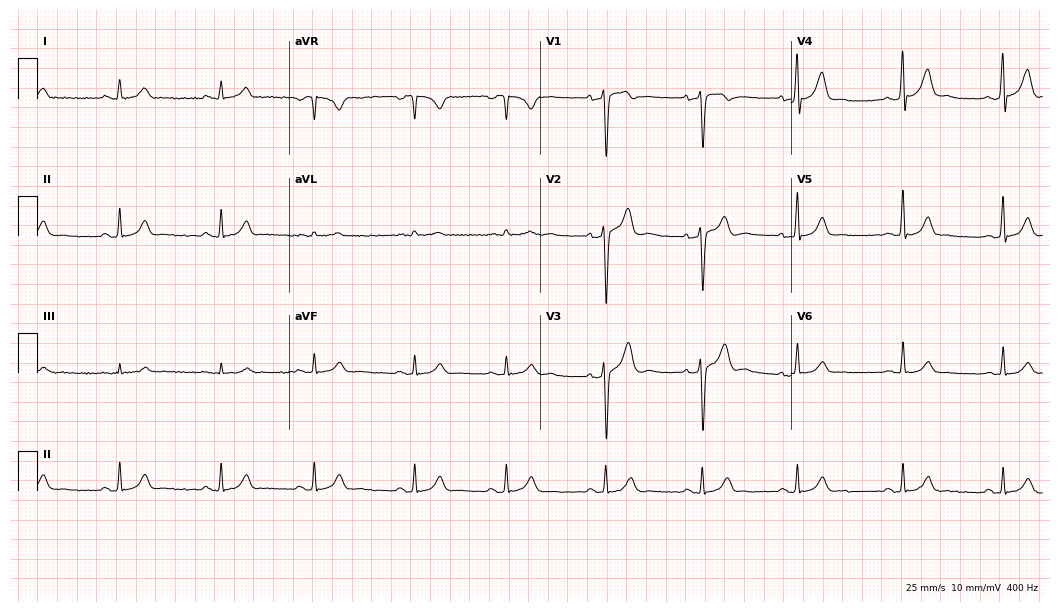
ECG (10.2-second recording at 400 Hz) — a 28-year-old man. Labelled as a normal ECG.